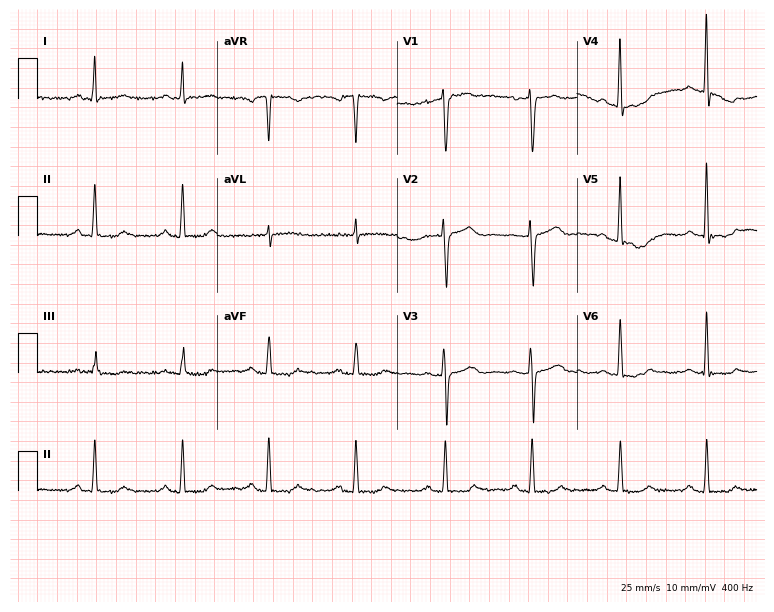
12-lead ECG from a 55-year-old female (7.3-second recording at 400 Hz). No first-degree AV block, right bundle branch block, left bundle branch block, sinus bradycardia, atrial fibrillation or sinus tachycardia recorded for this tracing. Only these six findings were labelled.